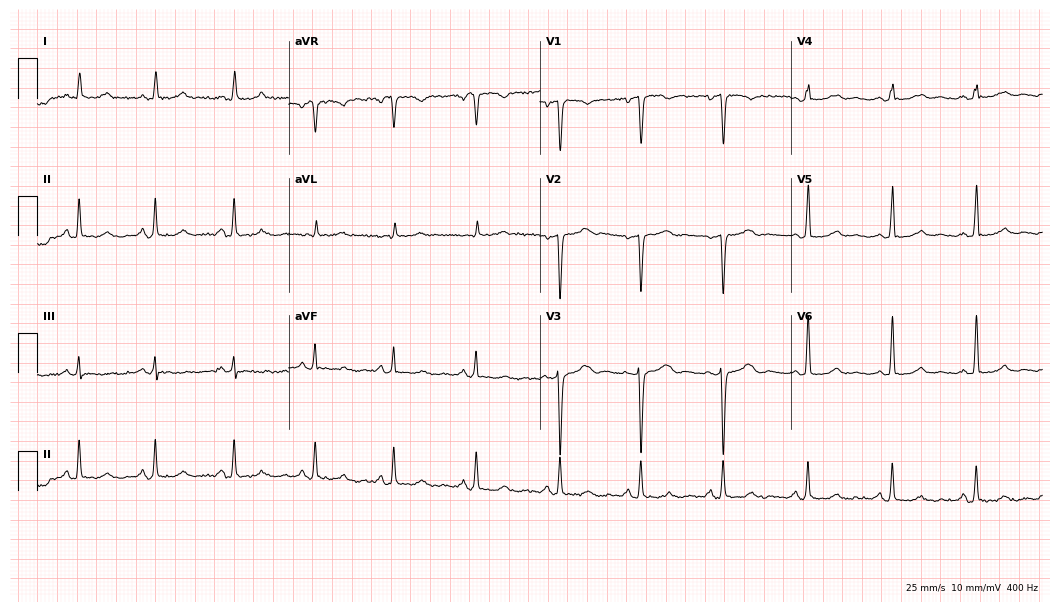
ECG — a female patient, 50 years old. Screened for six findings — first-degree AV block, right bundle branch block (RBBB), left bundle branch block (LBBB), sinus bradycardia, atrial fibrillation (AF), sinus tachycardia — none is recorded. Findings outside these six are not listed.